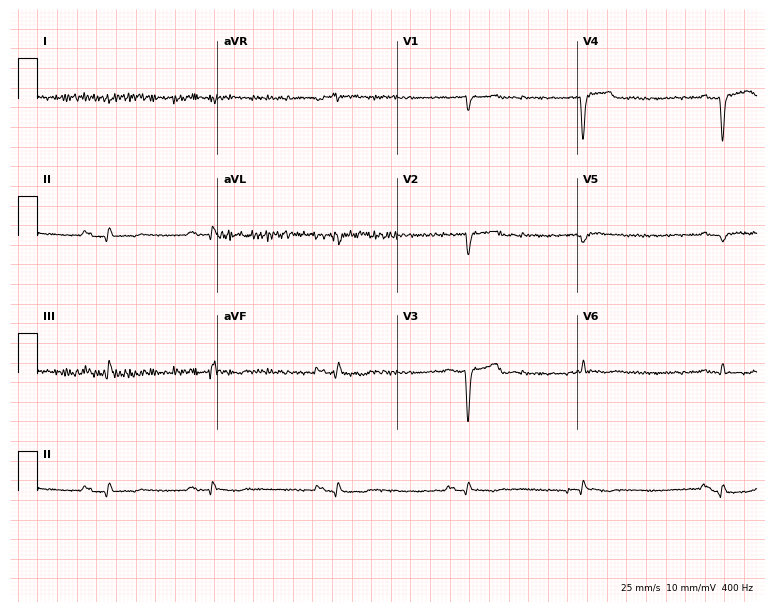
Standard 12-lead ECG recorded from an 82-year-old man (7.3-second recording at 400 Hz). None of these six findings is recorded: first-degree AV block, right bundle branch block, left bundle branch block, sinus bradycardia, atrial fibrillation, sinus tachycardia.